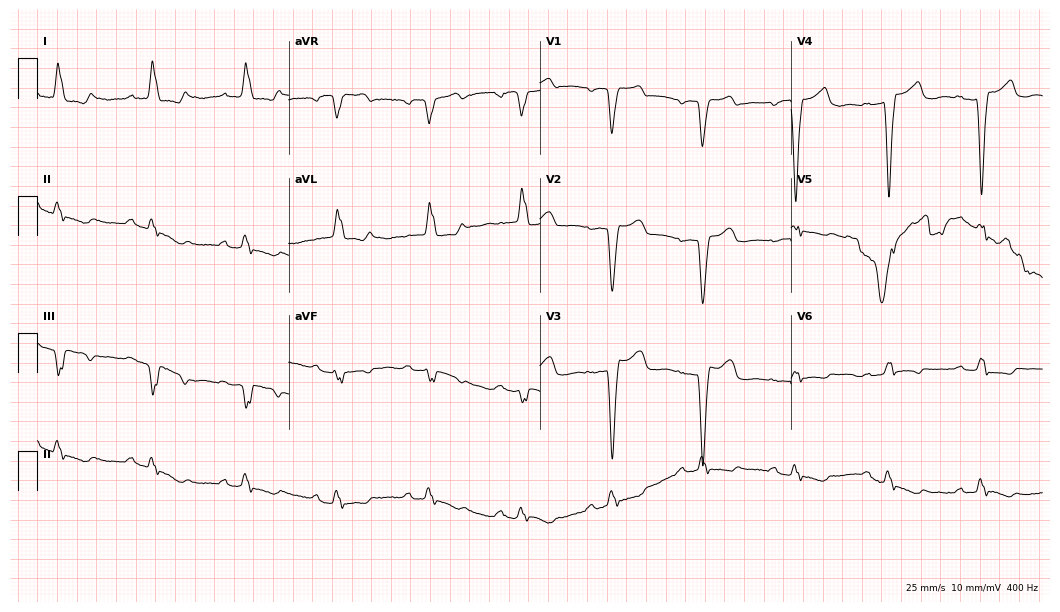
ECG (10.2-second recording at 400 Hz) — an 81-year-old female patient. Findings include first-degree AV block, left bundle branch block.